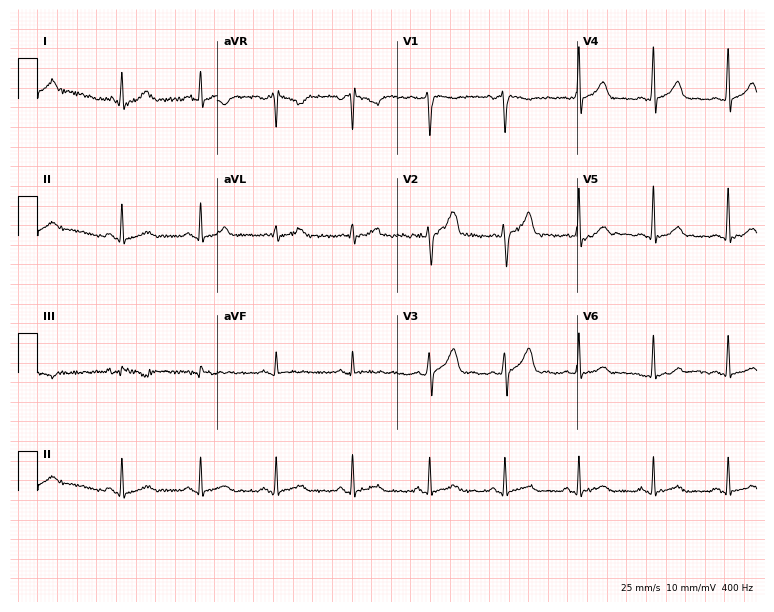
ECG — a 31-year-old male patient. Labelled as a normal ECG.